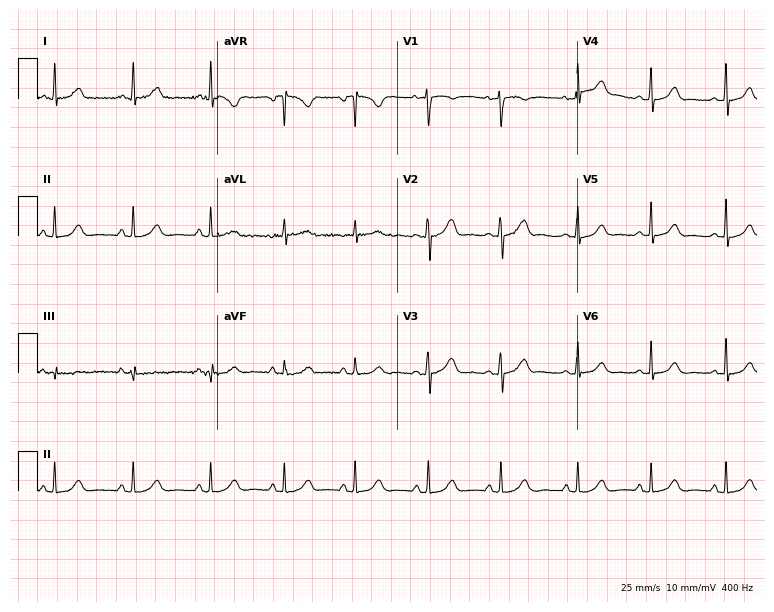
ECG — a 39-year-old woman. Screened for six findings — first-degree AV block, right bundle branch block (RBBB), left bundle branch block (LBBB), sinus bradycardia, atrial fibrillation (AF), sinus tachycardia — none is recorded. Findings outside these six are not listed.